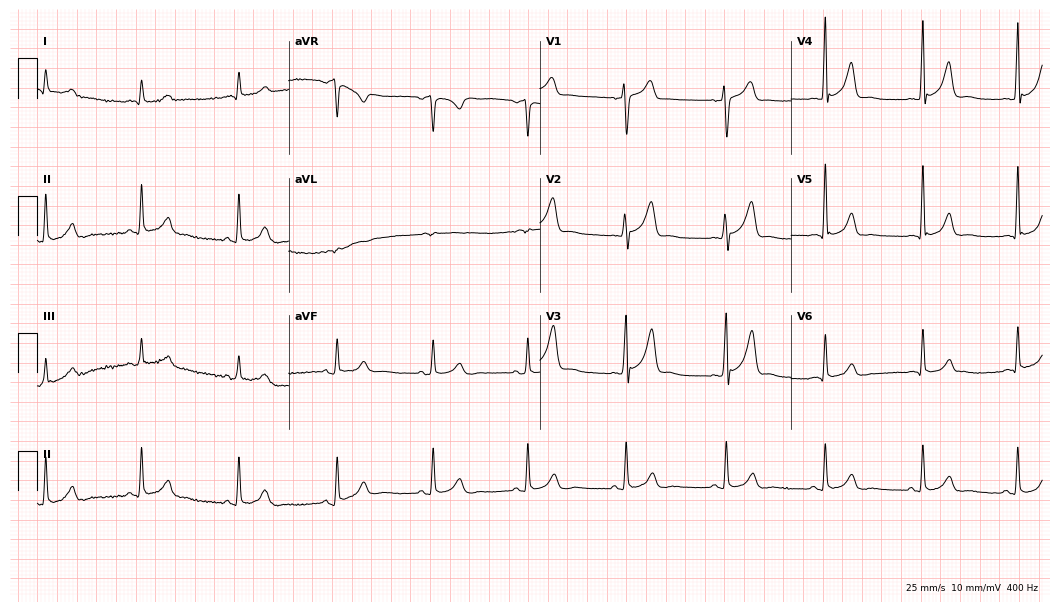
Electrocardiogram (10.2-second recording at 400 Hz), a female, 46 years old. Of the six screened findings (first-degree AV block, right bundle branch block, left bundle branch block, sinus bradycardia, atrial fibrillation, sinus tachycardia), none is recorded.